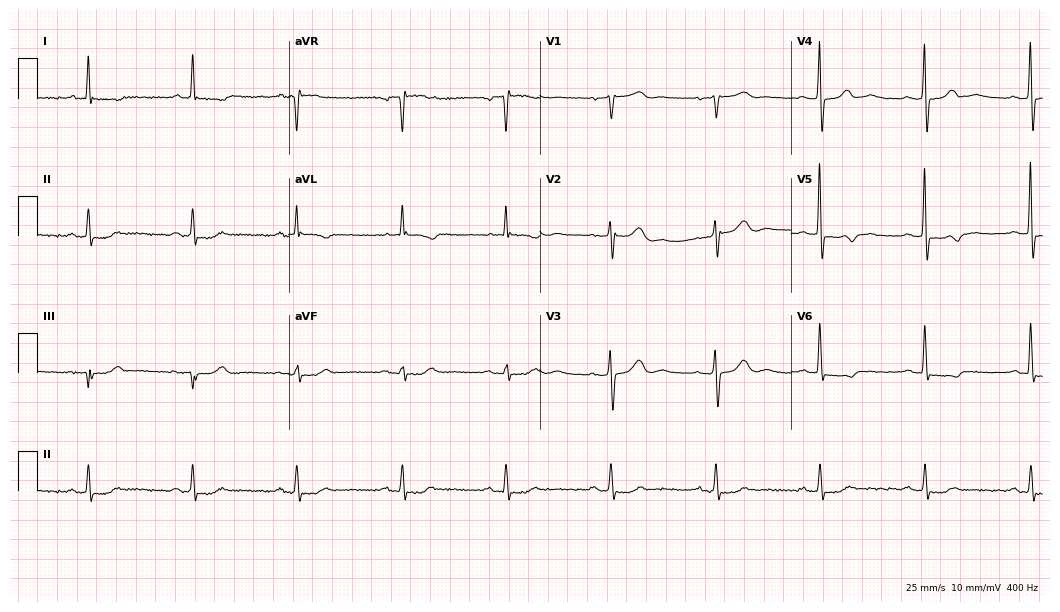
Resting 12-lead electrocardiogram (10.2-second recording at 400 Hz). Patient: a 78-year-old male. None of these six findings is recorded: first-degree AV block, right bundle branch block, left bundle branch block, sinus bradycardia, atrial fibrillation, sinus tachycardia.